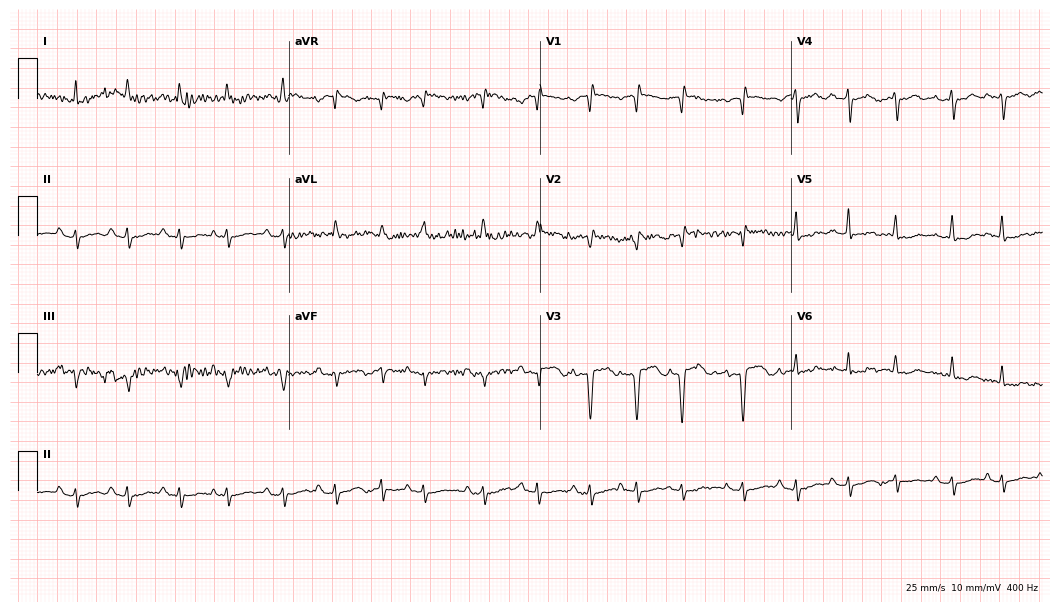
12-lead ECG from an 85-year-old female. Shows sinus tachycardia (a sinus rate of 100 beats per minute or more).